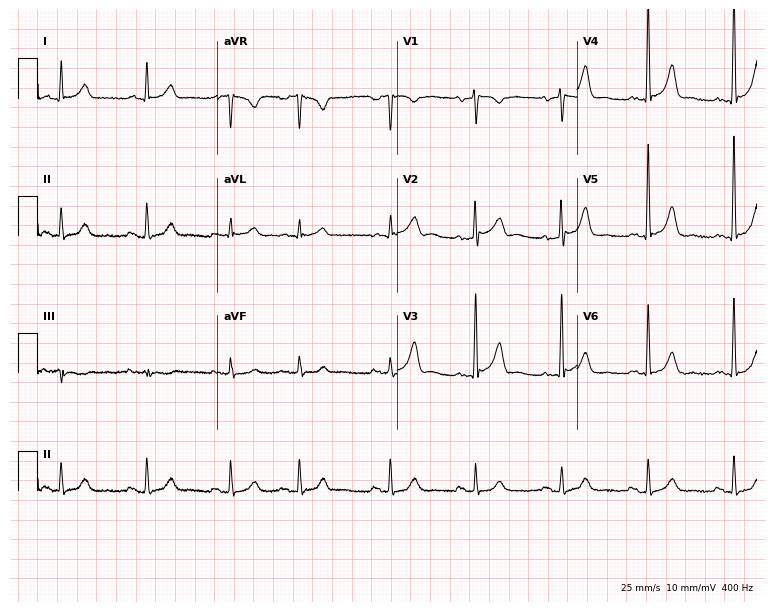
Resting 12-lead electrocardiogram (7.3-second recording at 400 Hz). Patient: a 71-year-old male. None of these six findings is recorded: first-degree AV block, right bundle branch block, left bundle branch block, sinus bradycardia, atrial fibrillation, sinus tachycardia. Only these six findings were labelled.